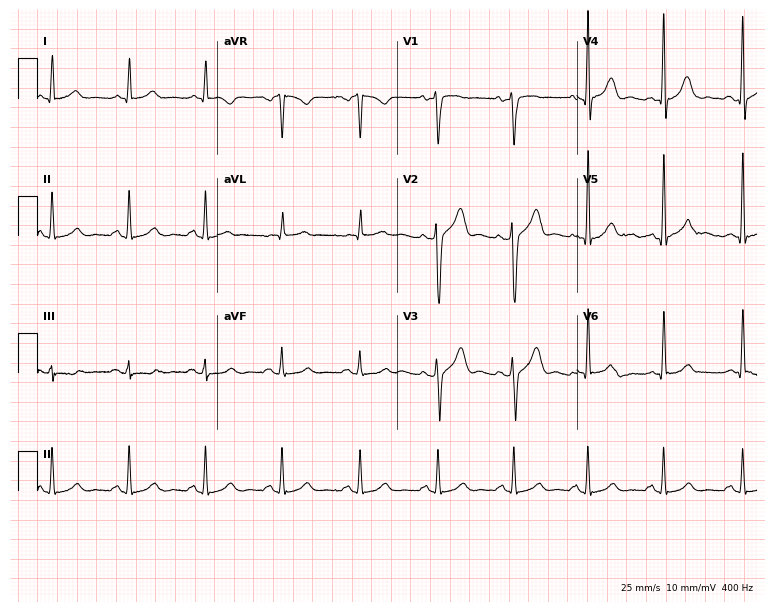
Resting 12-lead electrocardiogram (7.3-second recording at 400 Hz). Patient: a 43-year-old male. Read as a normal ECG.